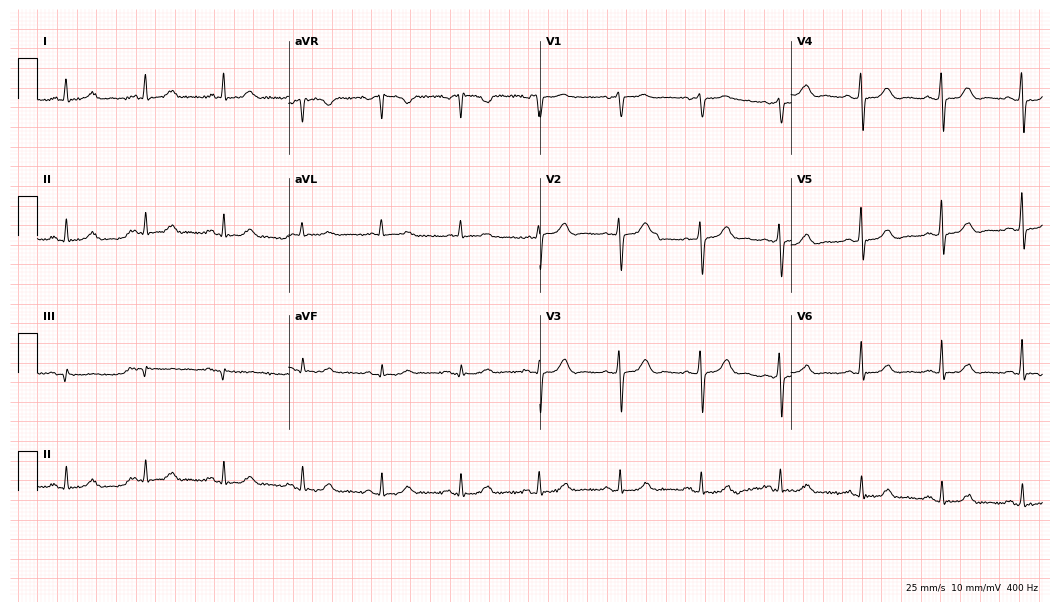
12-lead ECG from a 66-year-old female. Recorded interpretation: within normal limits.